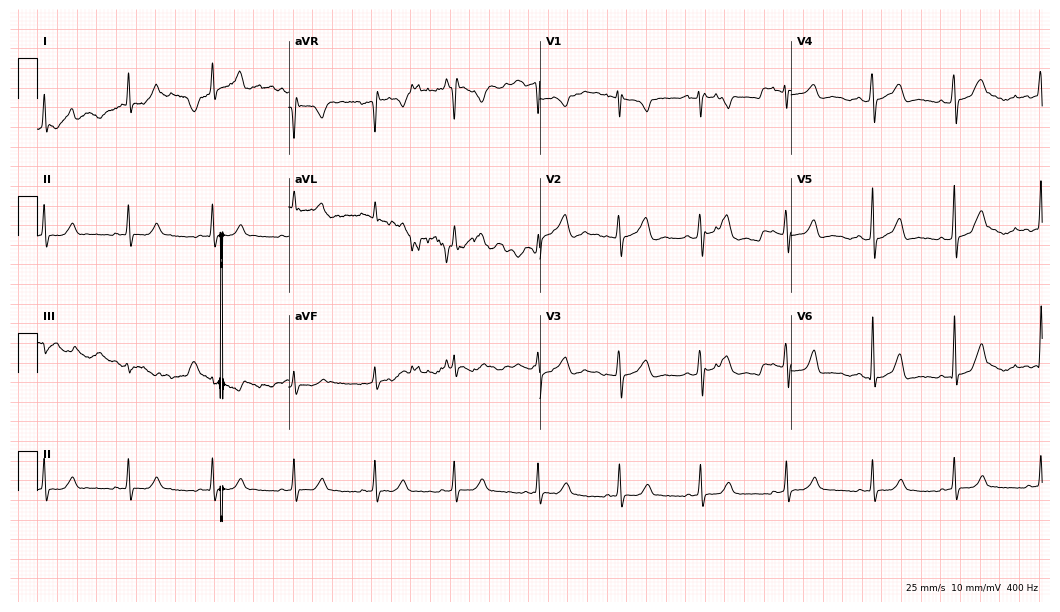
Resting 12-lead electrocardiogram. Patient: a woman, 18 years old. None of these six findings is recorded: first-degree AV block, right bundle branch block, left bundle branch block, sinus bradycardia, atrial fibrillation, sinus tachycardia.